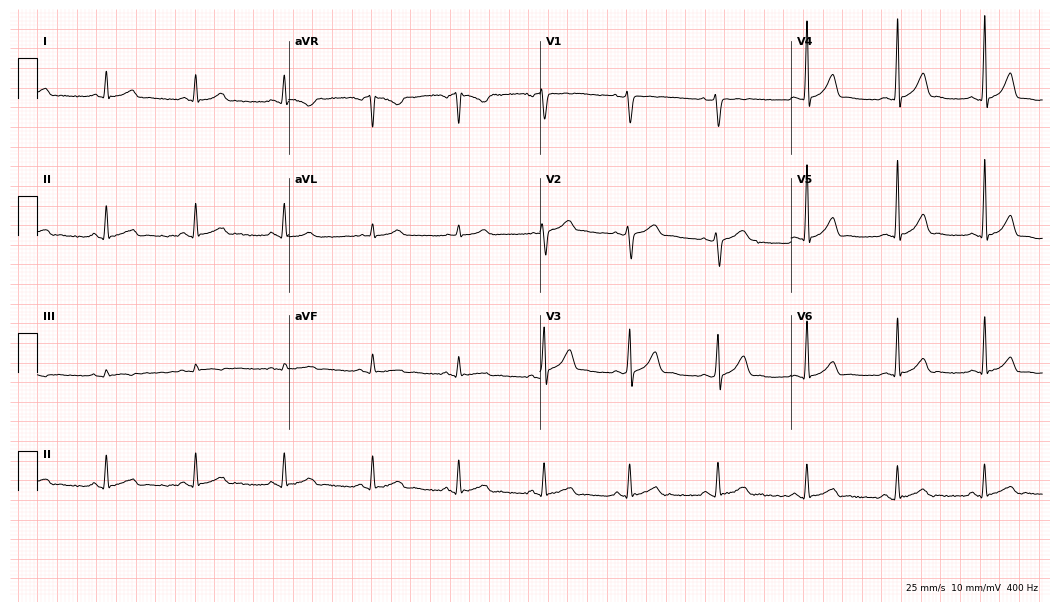
ECG — a 42-year-old male. Labelled as a normal ECG.